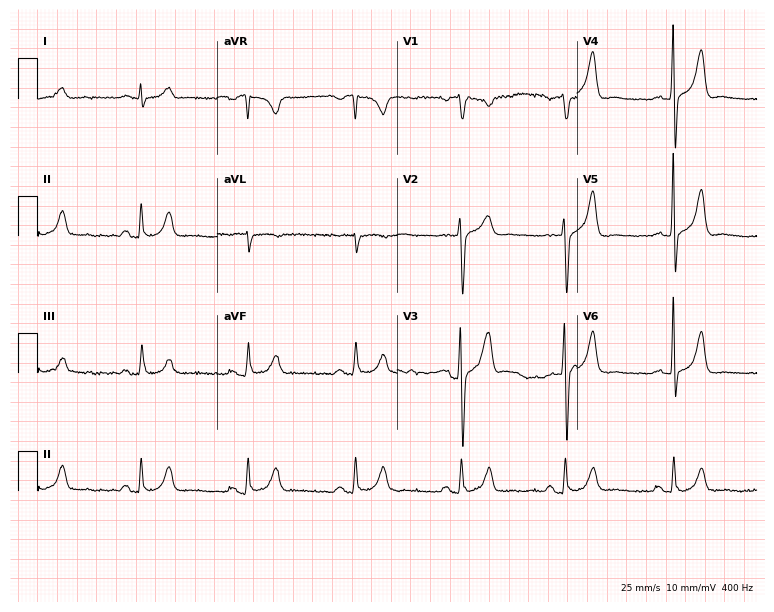
12-lead ECG from a male, 46 years old (7.3-second recording at 400 Hz). Recorded interpretation: within normal limits.